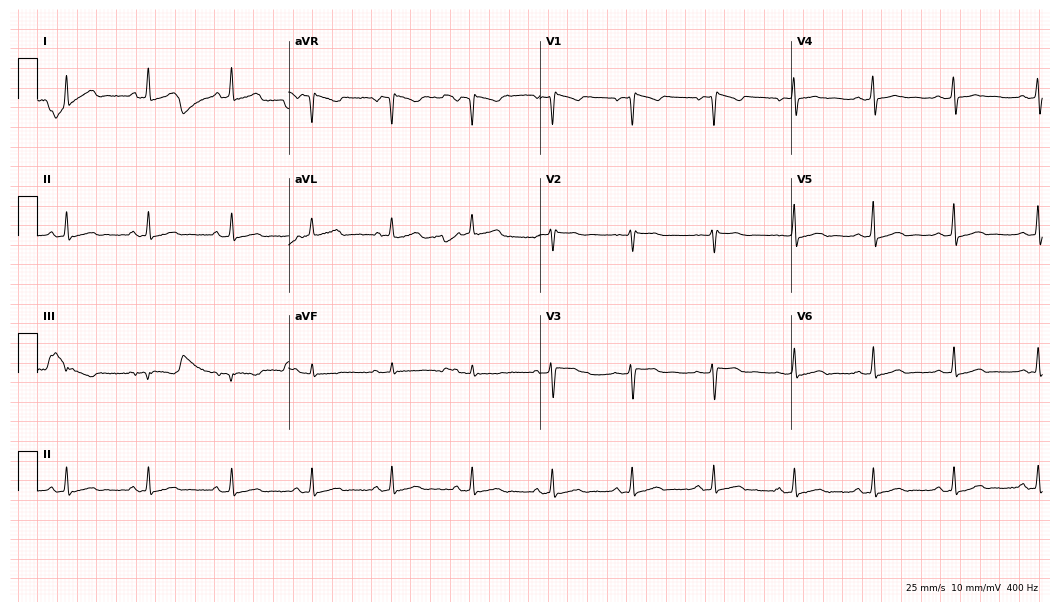
ECG (10.2-second recording at 400 Hz) — a 38-year-old female. Screened for six findings — first-degree AV block, right bundle branch block, left bundle branch block, sinus bradycardia, atrial fibrillation, sinus tachycardia — none is recorded. Findings outside these six are not listed.